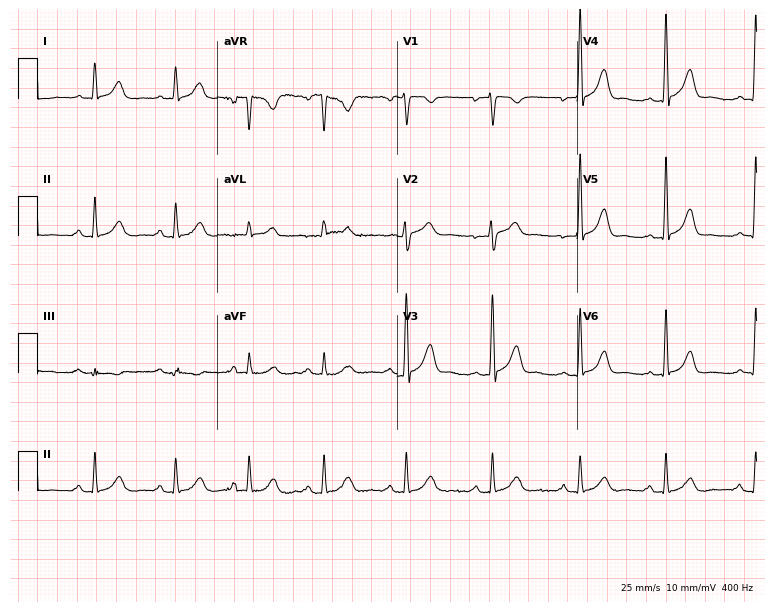
Resting 12-lead electrocardiogram (7.3-second recording at 400 Hz). Patient: a man, 32 years old. Read as a normal ECG.